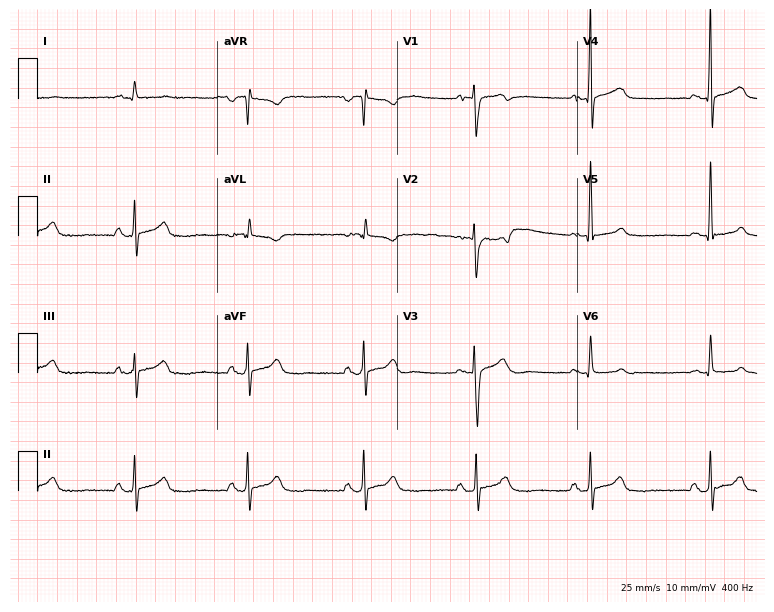
ECG — a male, 62 years old. Findings include sinus bradycardia (a sinus rate of 50 beats per minute or less).